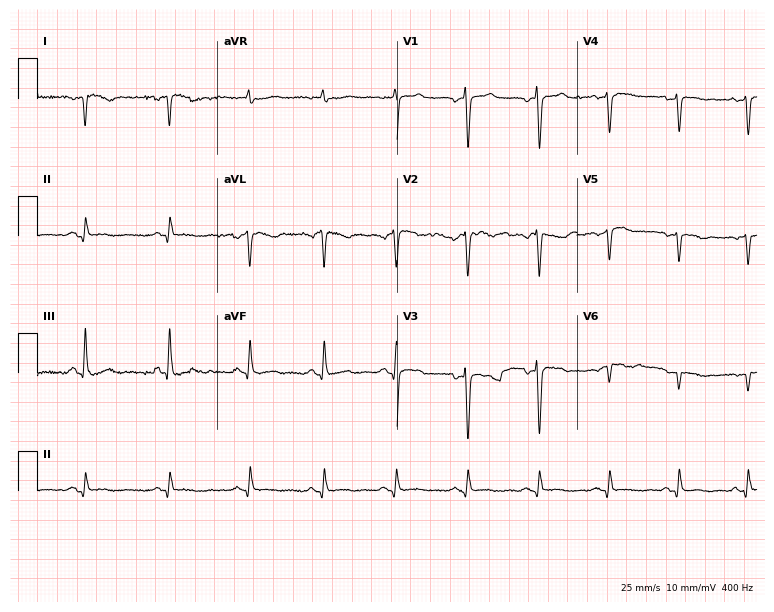
ECG (7.3-second recording at 400 Hz) — a man, 48 years old. Screened for six findings — first-degree AV block, right bundle branch block (RBBB), left bundle branch block (LBBB), sinus bradycardia, atrial fibrillation (AF), sinus tachycardia — none is recorded.